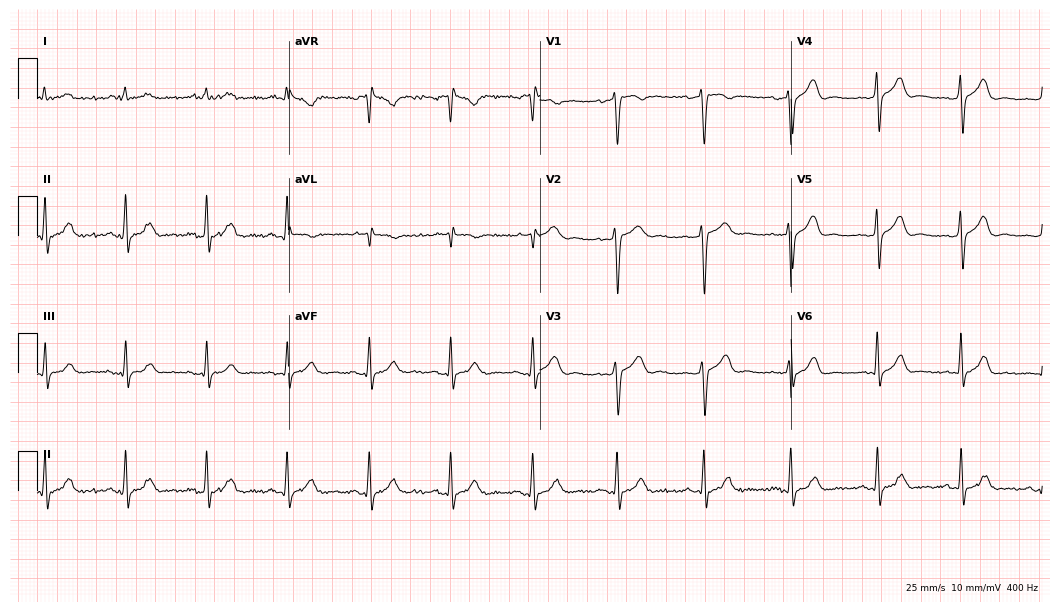
Standard 12-lead ECG recorded from a 32-year-old man. Read as a normal ECG.